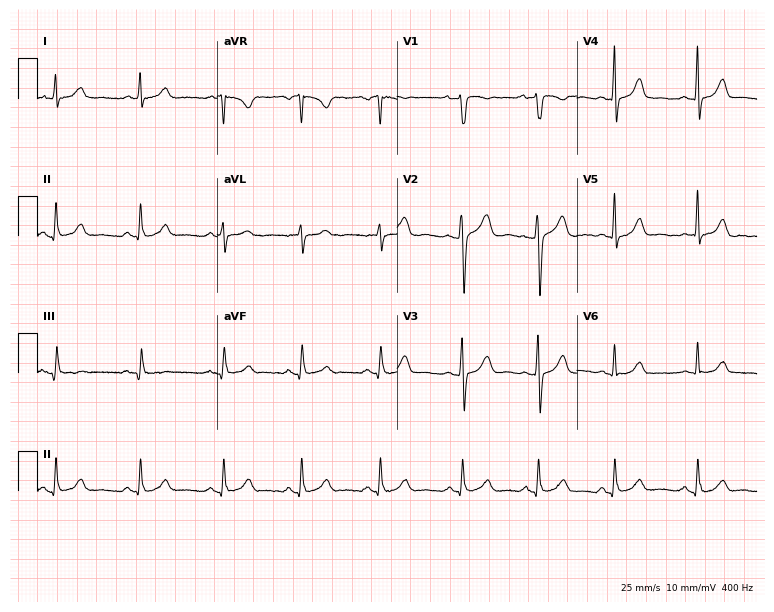
Resting 12-lead electrocardiogram (7.3-second recording at 400 Hz). Patient: a female, 43 years old. Read as a normal ECG.